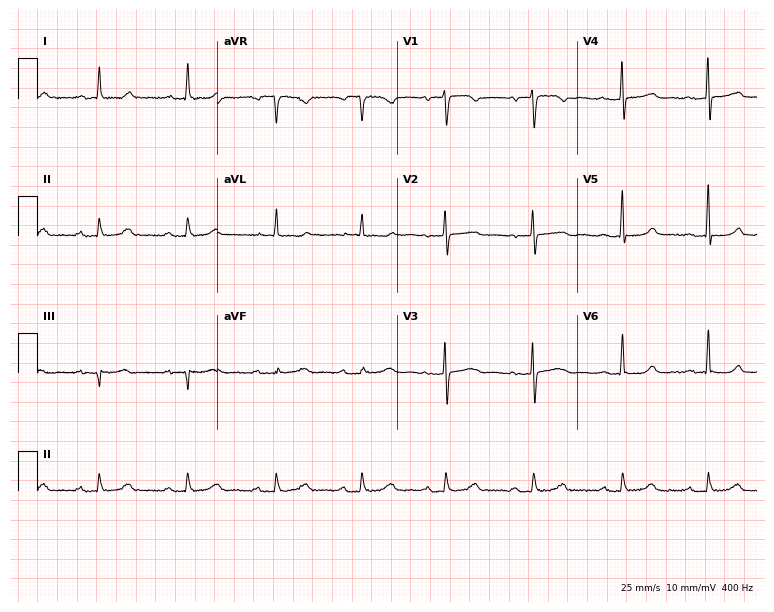
12-lead ECG (7.3-second recording at 400 Hz) from a 62-year-old female patient. Labelled as a normal ECG.